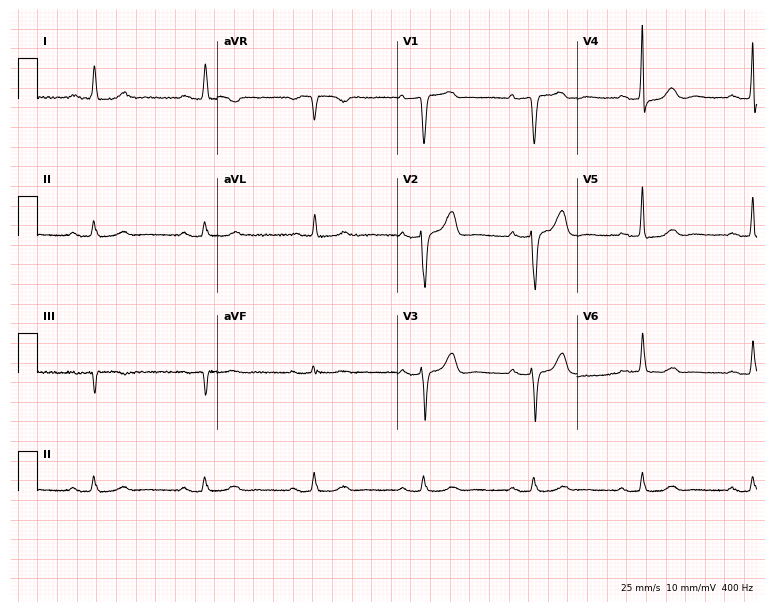
12-lead ECG (7.3-second recording at 400 Hz) from an 82-year-old woman. Findings include first-degree AV block.